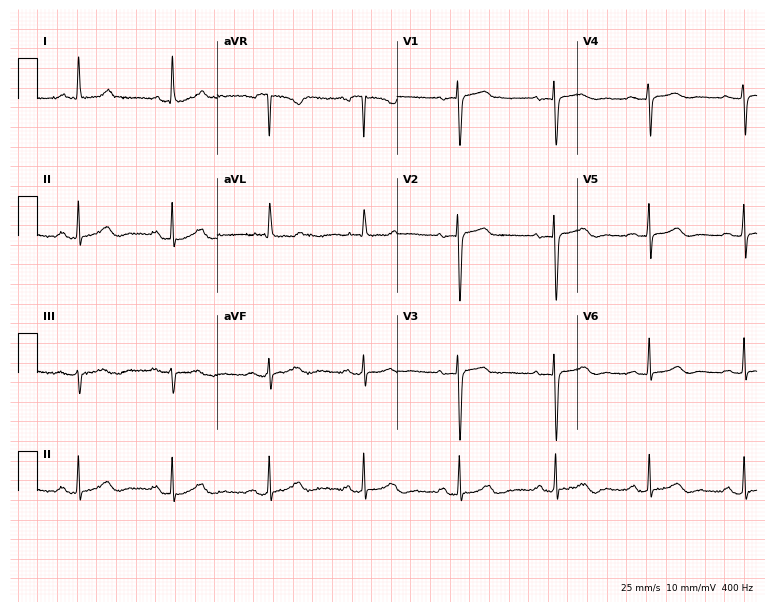
Standard 12-lead ECG recorded from a 76-year-old female patient. None of these six findings is recorded: first-degree AV block, right bundle branch block, left bundle branch block, sinus bradycardia, atrial fibrillation, sinus tachycardia. Findings outside these six are not listed.